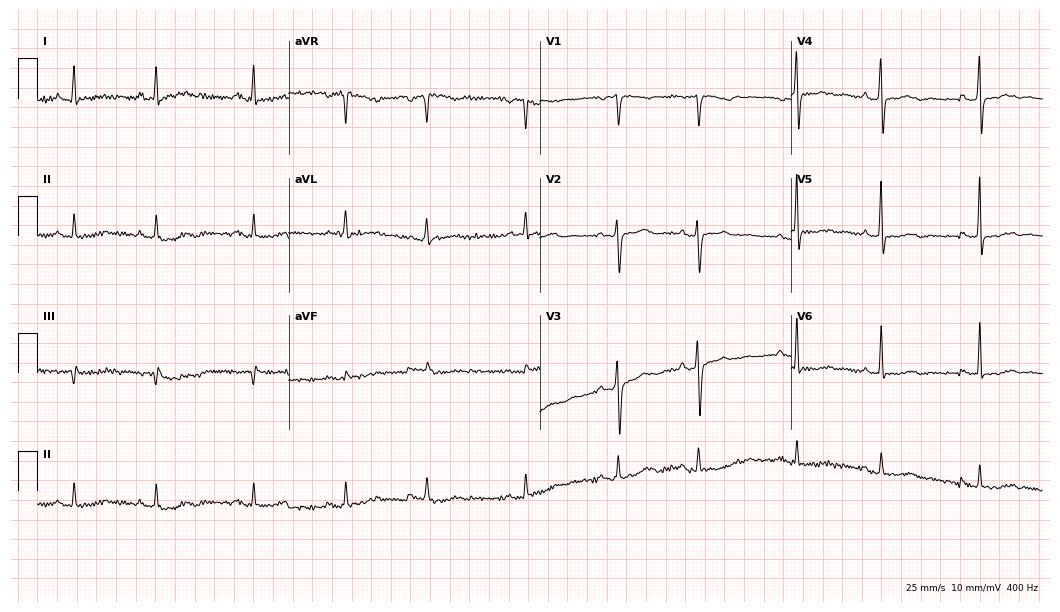
Standard 12-lead ECG recorded from a 63-year-old woman (10.2-second recording at 400 Hz). None of these six findings is recorded: first-degree AV block, right bundle branch block (RBBB), left bundle branch block (LBBB), sinus bradycardia, atrial fibrillation (AF), sinus tachycardia. Only these six findings were labelled.